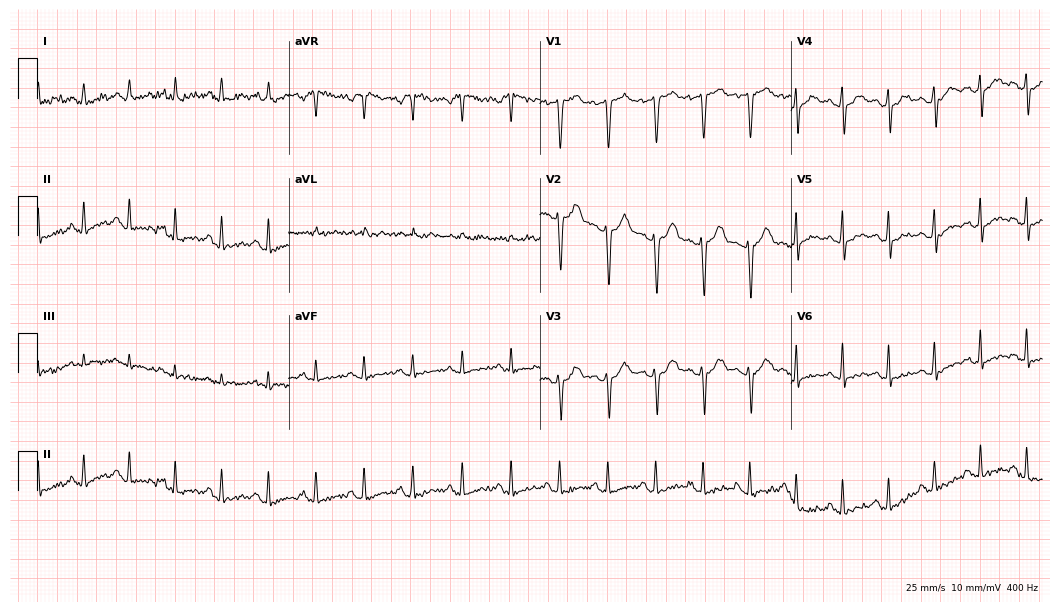
12-lead ECG from a male patient, 30 years old. Findings include sinus tachycardia (a sinus rate of 100 beats per minute or more).